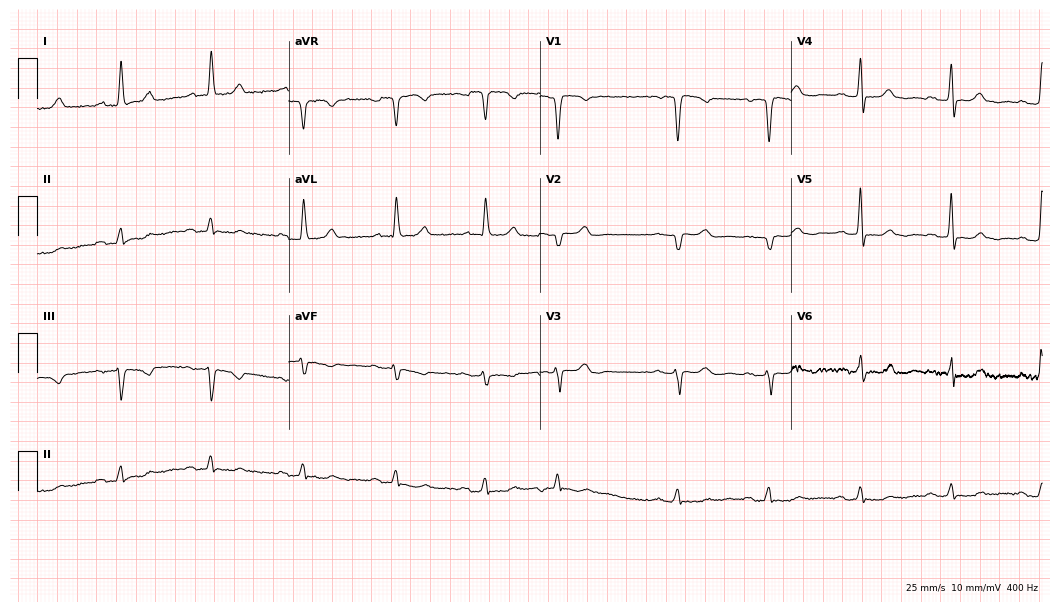
12-lead ECG from a 71-year-old woman. Labelled as a normal ECG.